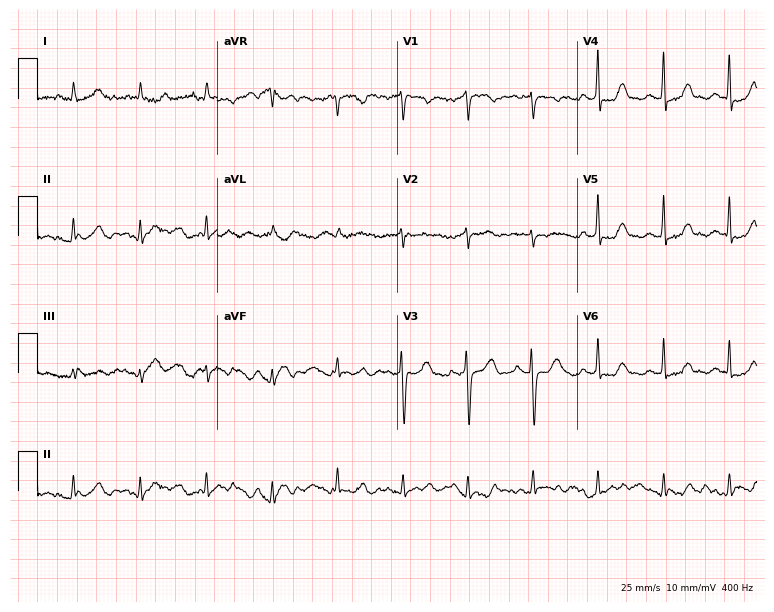
12-lead ECG from a female patient, 71 years old (7.3-second recording at 400 Hz). No first-degree AV block, right bundle branch block, left bundle branch block, sinus bradycardia, atrial fibrillation or sinus tachycardia recorded for this tracing. Only these six findings were labelled.